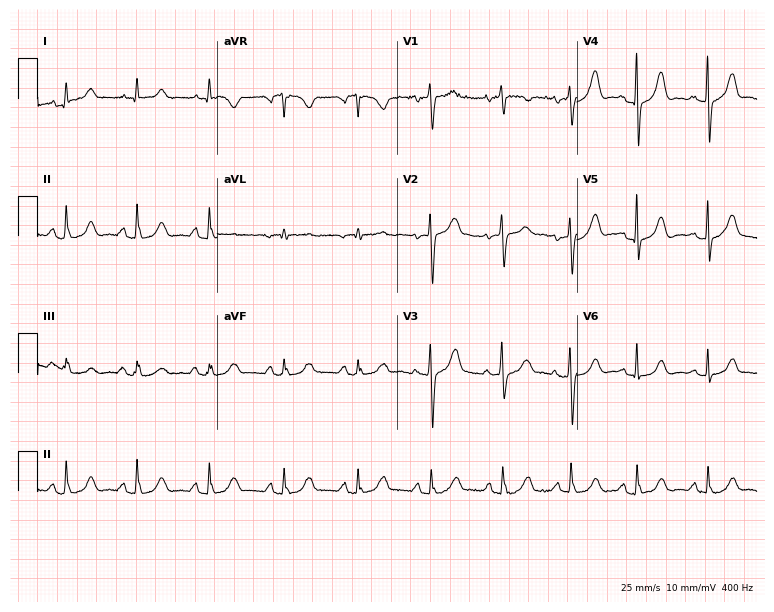
Standard 12-lead ECG recorded from a female, 63 years old. Read as a normal ECG.